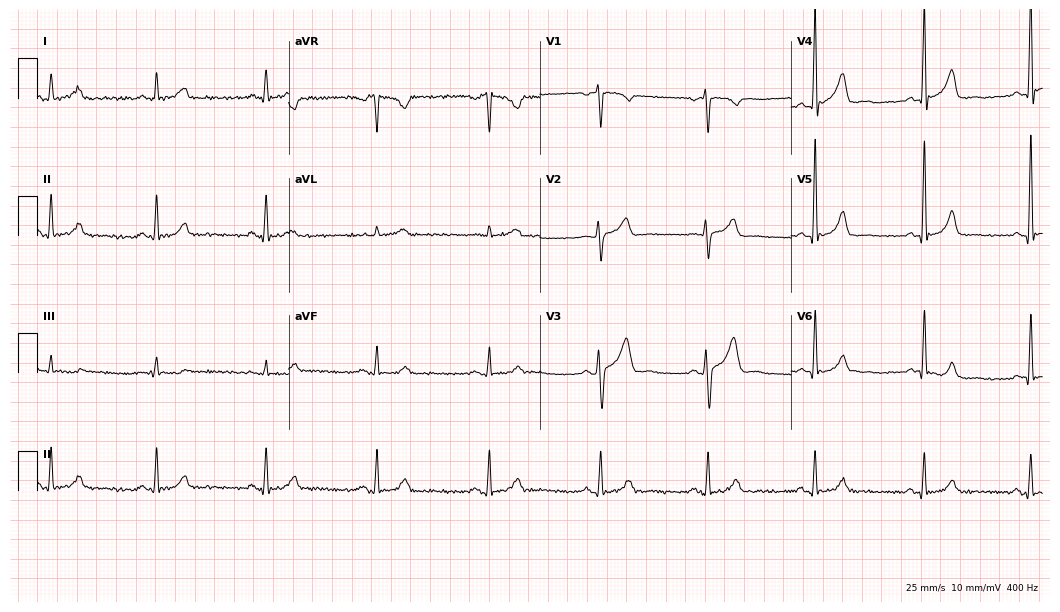
Standard 12-lead ECG recorded from a 36-year-old man (10.2-second recording at 400 Hz). Read as a normal ECG.